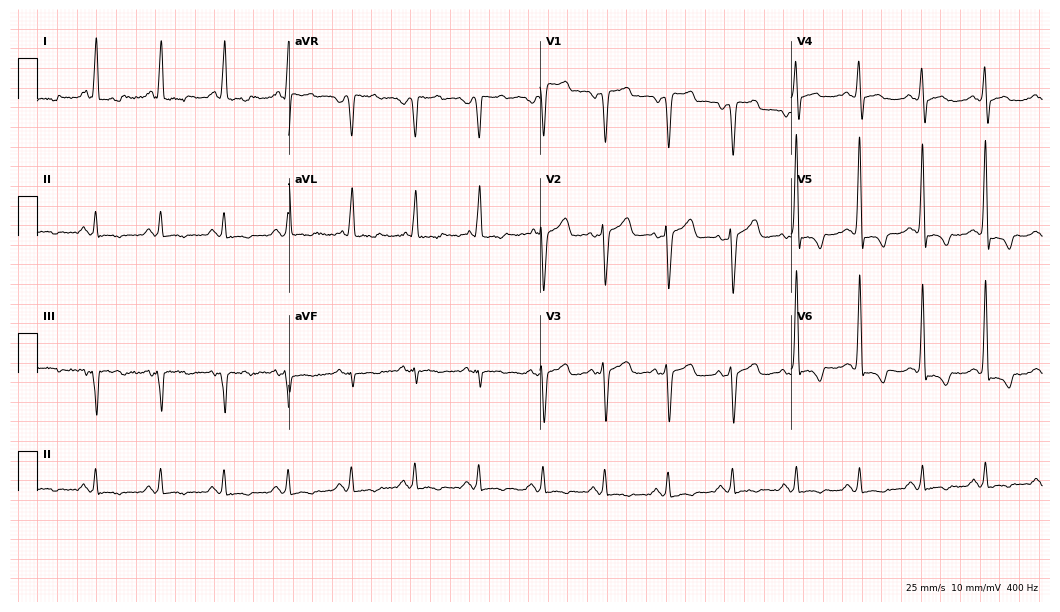
Standard 12-lead ECG recorded from a 63-year-old man (10.2-second recording at 400 Hz). None of these six findings is recorded: first-degree AV block, right bundle branch block, left bundle branch block, sinus bradycardia, atrial fibrillation, sinus tachycardia.